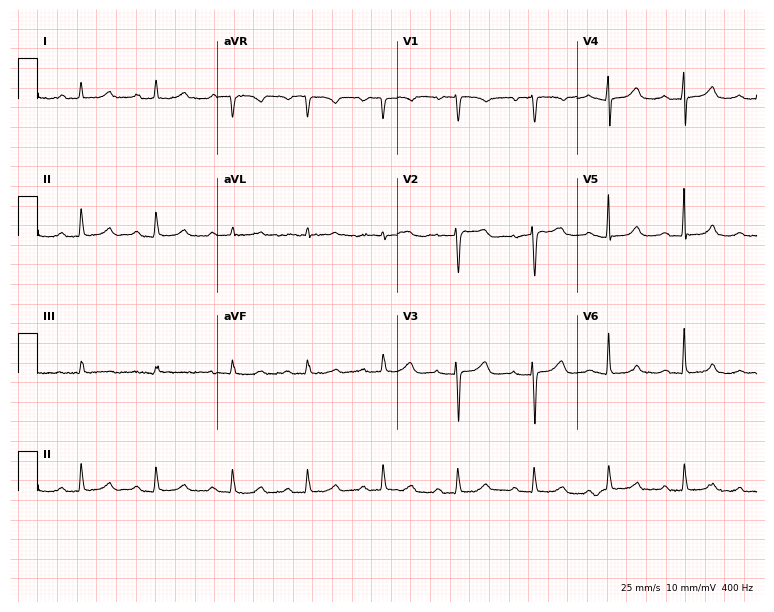
Standard 12-lead ECG recorded from a female, 76 years old. The tracing shows first-degree AV block.